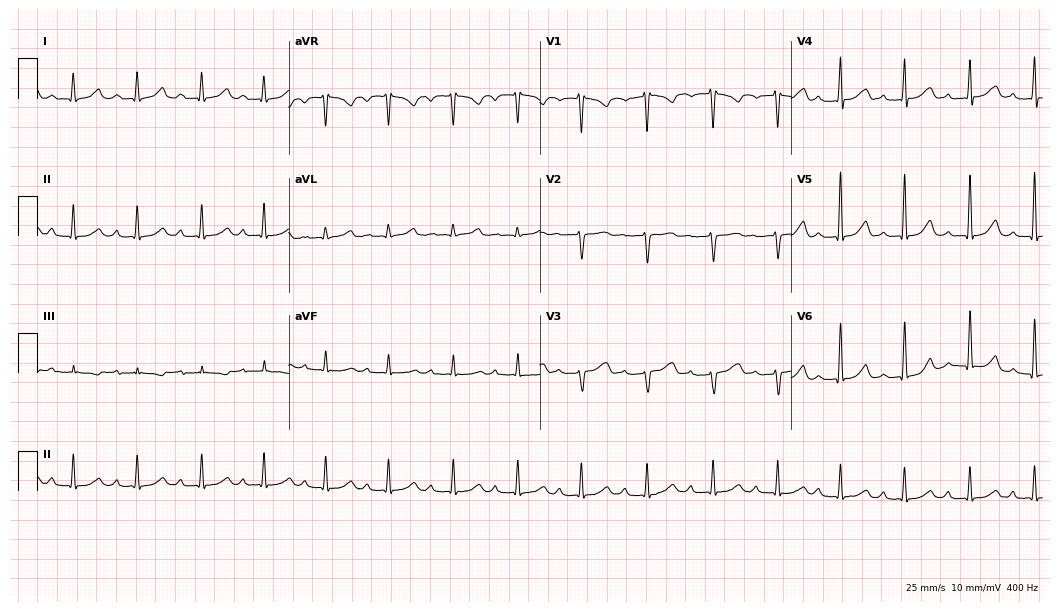
Resting 12-lead electrocardiogram. Patient: a 35-year-old female. The tracing shows first-degree AV block.